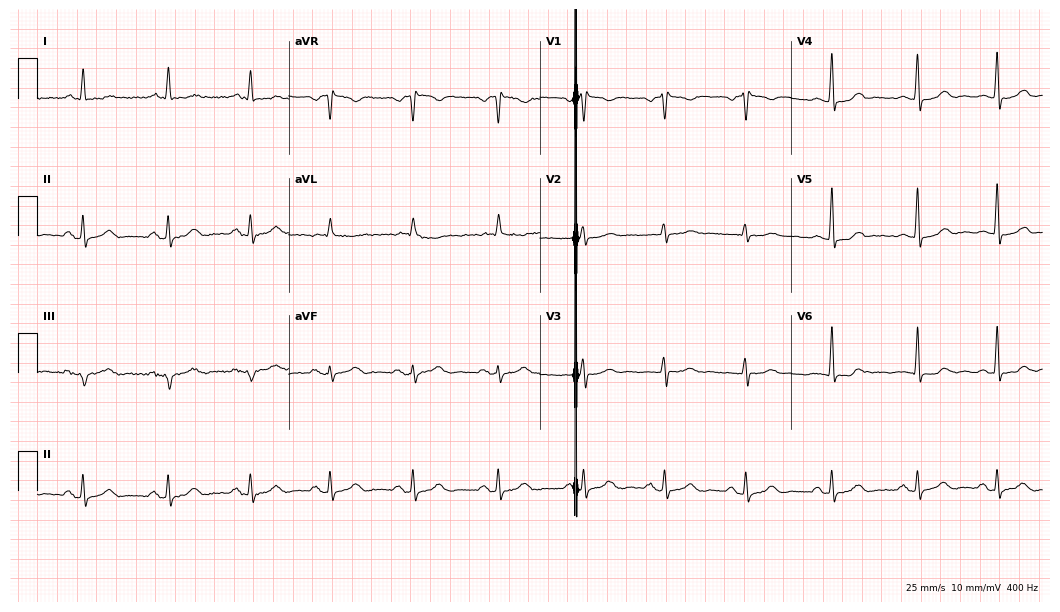
Electrocardiogram, a 66-year-old female patient. Of the six screened findings (first-degree AV block, right bundle branch block (RBBB), left bundle branch block (LBBB), sinus bradycardia, atrial fibrillation (AF), sinus tachycardia), none is recorded. Other findings, if any, are not listed.